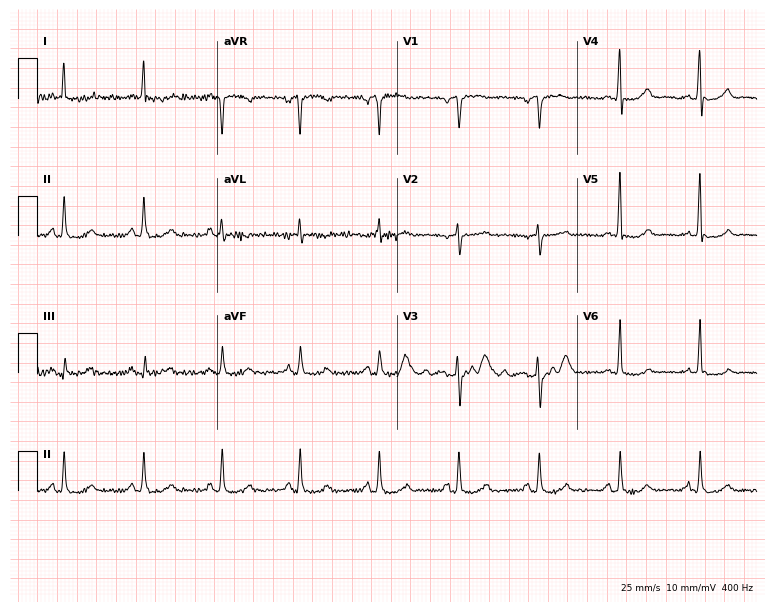
12-lead ECG from a man, 74 years old. No first-degree AV block, right bundle branch block, left bundle branch block, sinus bradycardia, atrial fibrillation or sinus tachycardia recorded for this tracing. Findings outside these six are not listed.